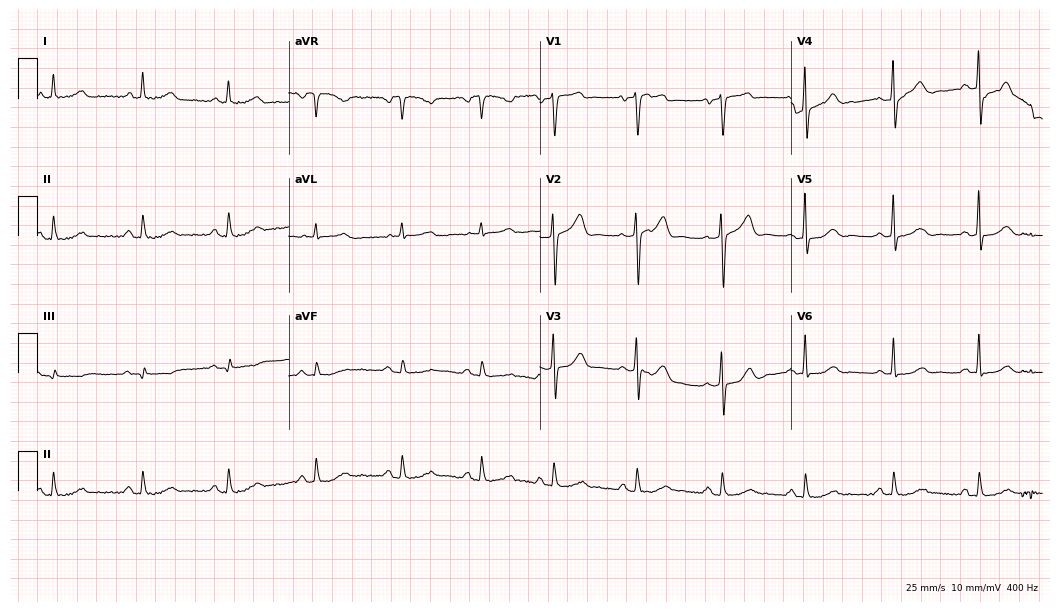
12-lead ECG from a male, 60 years old (10.2-second recording at 400 Hz). Recorded interpretation: within normal limits.